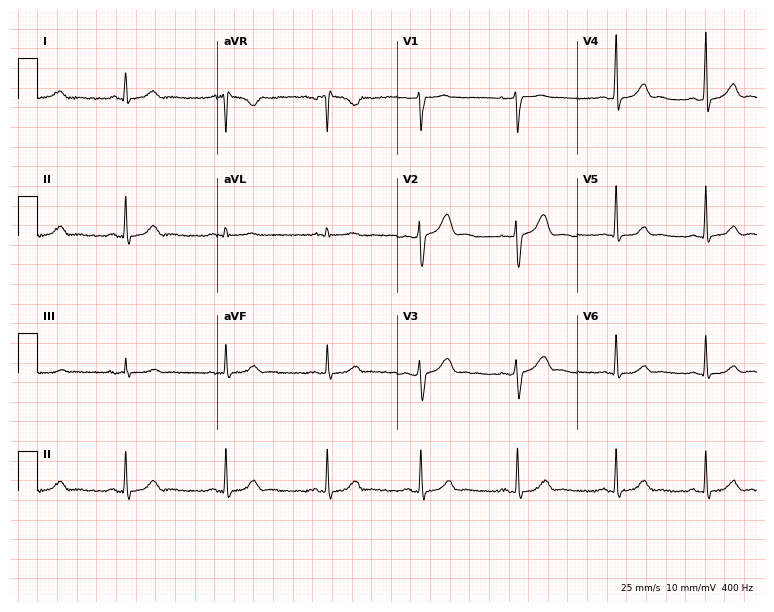
12-lead ECG from a female patient, 30 years old. Recorded interpretation: within normal limits.